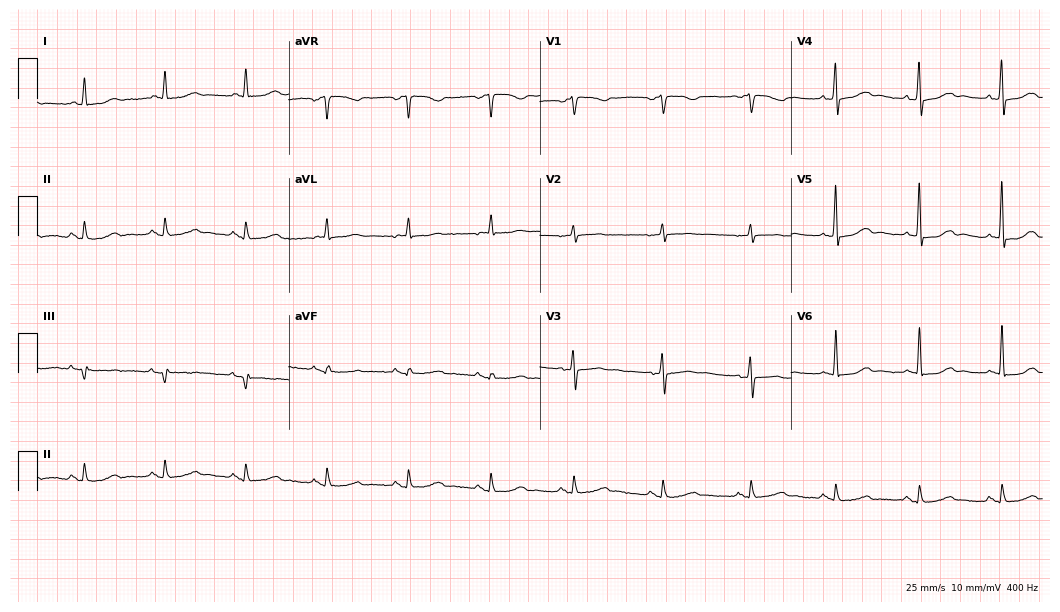
12-lead ECG from a 73-year-old female (10.2-second recording at 400 Hz). Recorded interpretation: within normal limits.